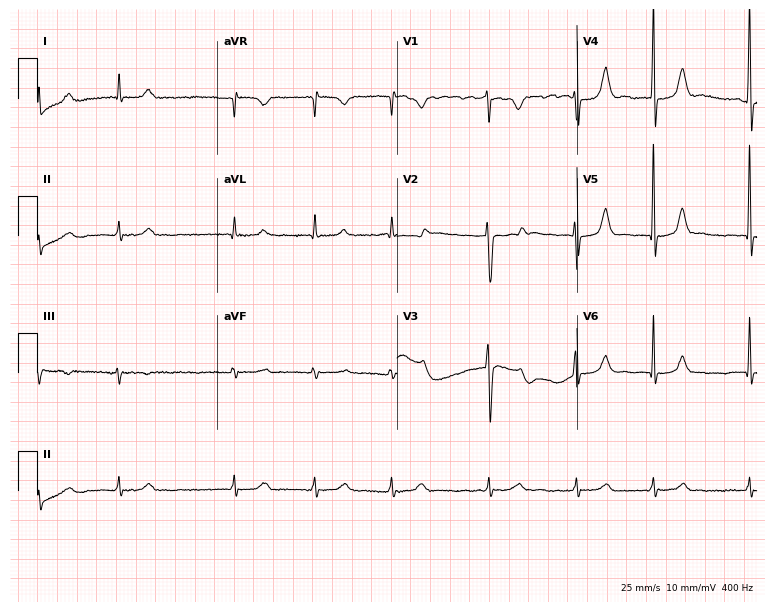
Standard 12-lead ECG recorded from a female patient, 77 years old. The tracing shows atrial fibrillation (AF).